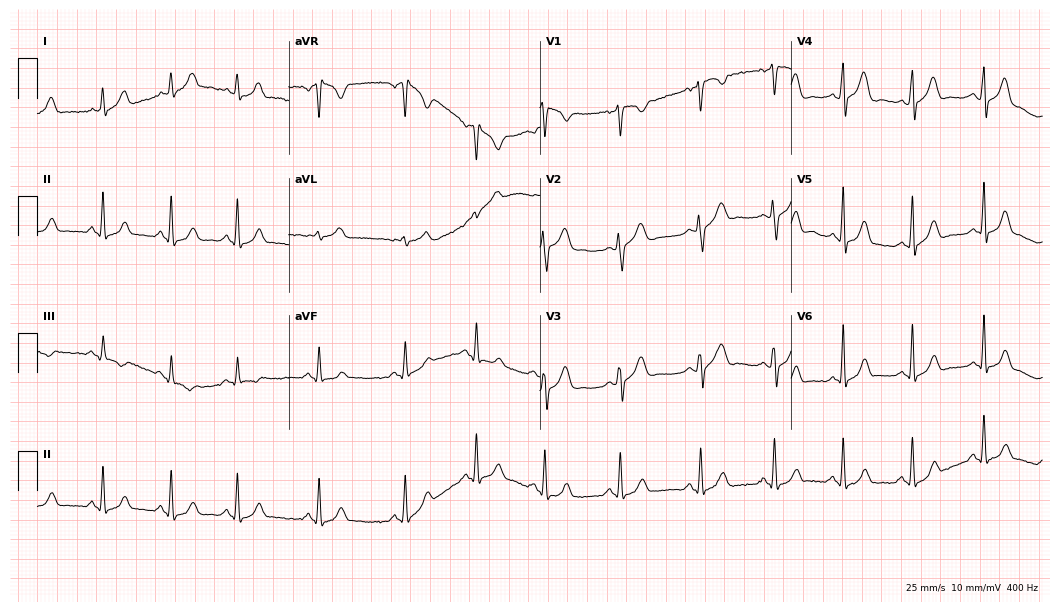
ECG (10.2-second recording at 400 Hz) — a 21-year-old female patient. Screened for six findings — first-degree AV block, right bundle branch block (RBBB), left bundle branch block (LBBB), sinus bradycardia, atrial fibrillation (AF), sinus tachycardia — none is recorded.